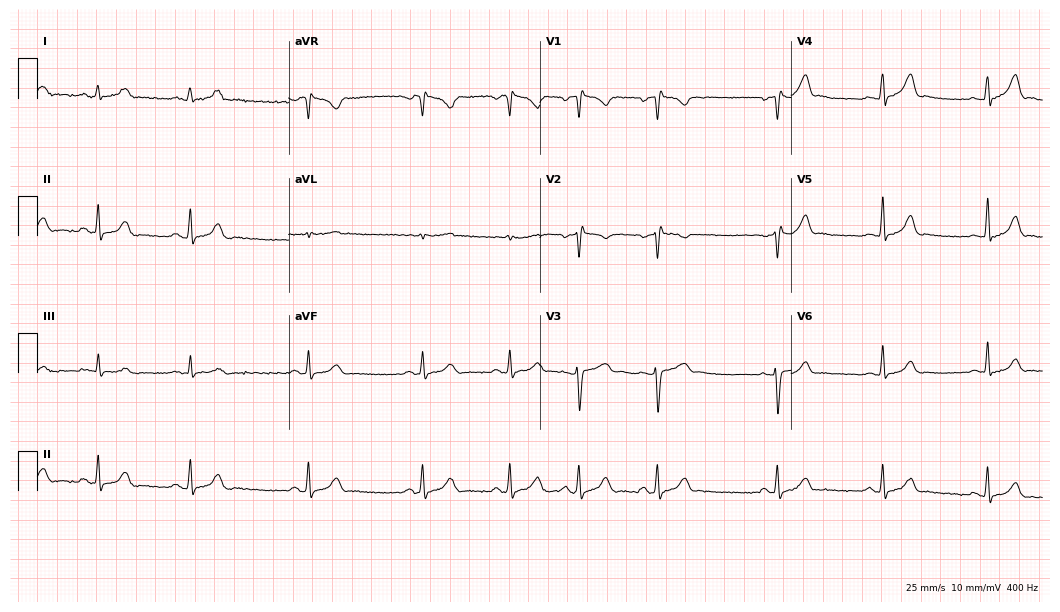
ECG — a female, 29 years old. Screened for six findings — first-degree AV block, right bundle branch block, left bundle branch block, sinus bradycardia, atrial fibrillation, sinus tachycardia — none is recorded.